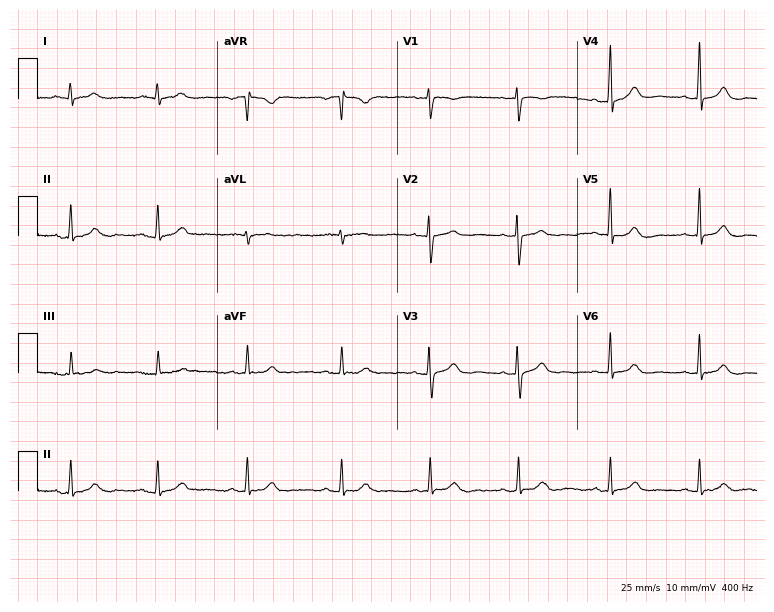
ECG (7.3-second recording at 400 Hz) — a 34-year-old female. Labelled as a normal ECG.